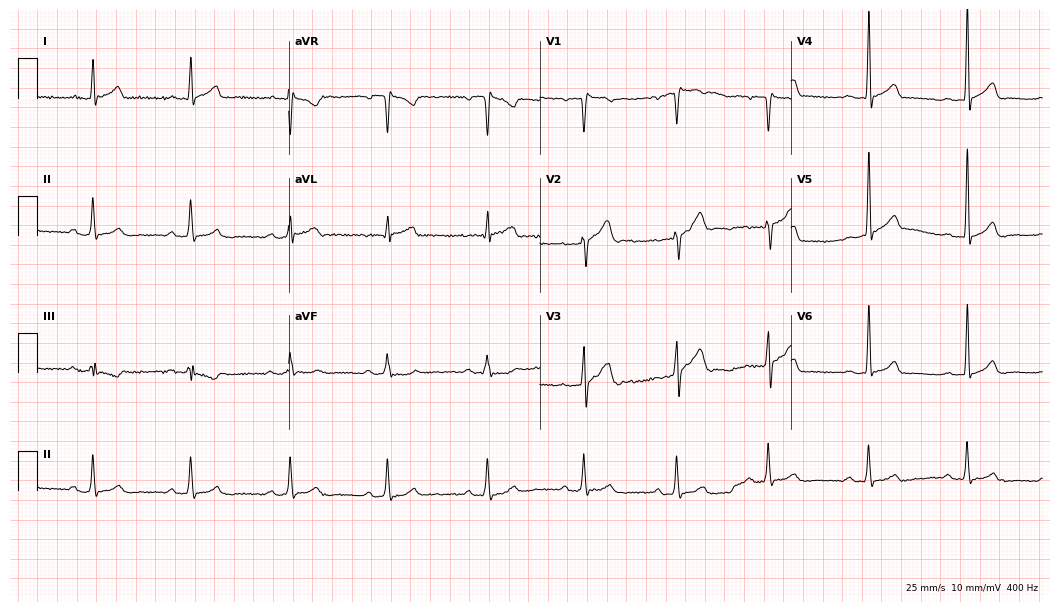
Resting 12-lead electrocardiogram. Patient: a male, 36 years old. Read as a normal ECG.